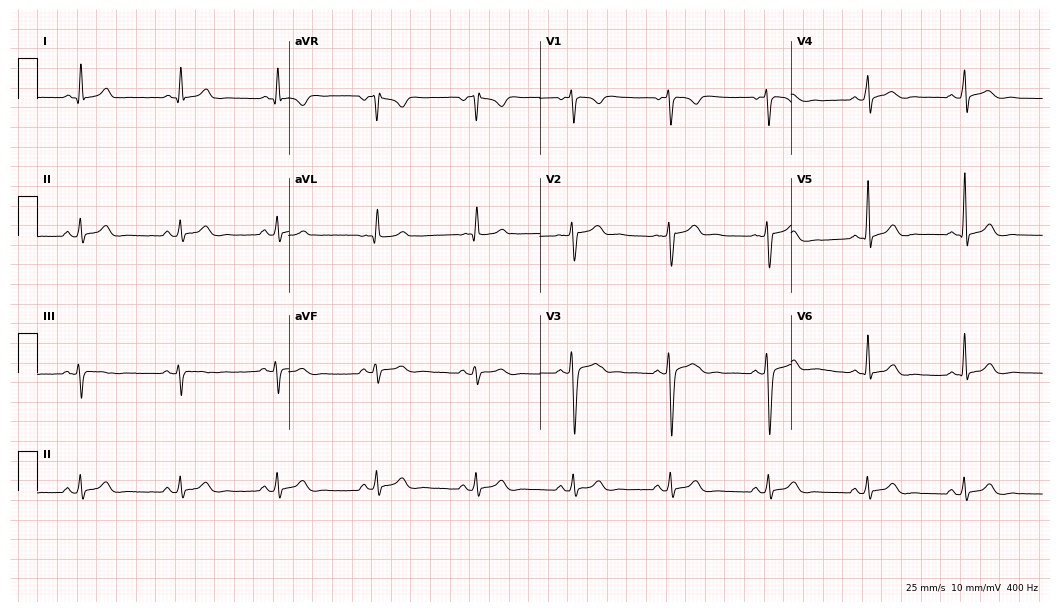
Resting 12-lead electrocardiogram. Patient: a 37-year-old male. None of these six findings is recorded: first-degree AV block, right bundle branch block (RBBB), left bundle branch block (LBBB), sinus bradycardia, atrial fibrillation (AF), sinus tachycardia.